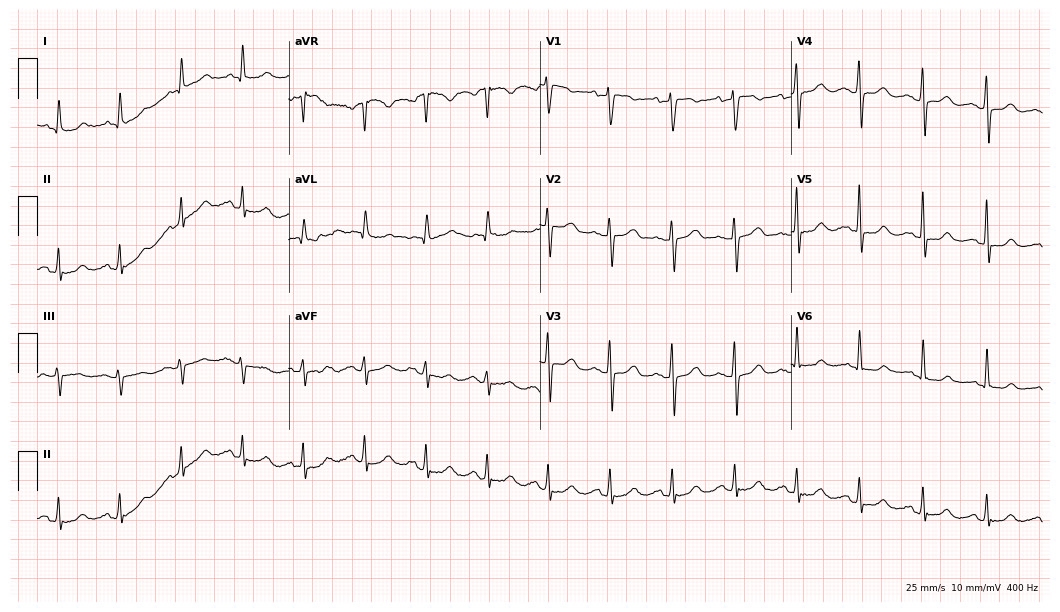
12-lead ECG from a woman, 65 years old. Recorded interpretation: within normal limits.